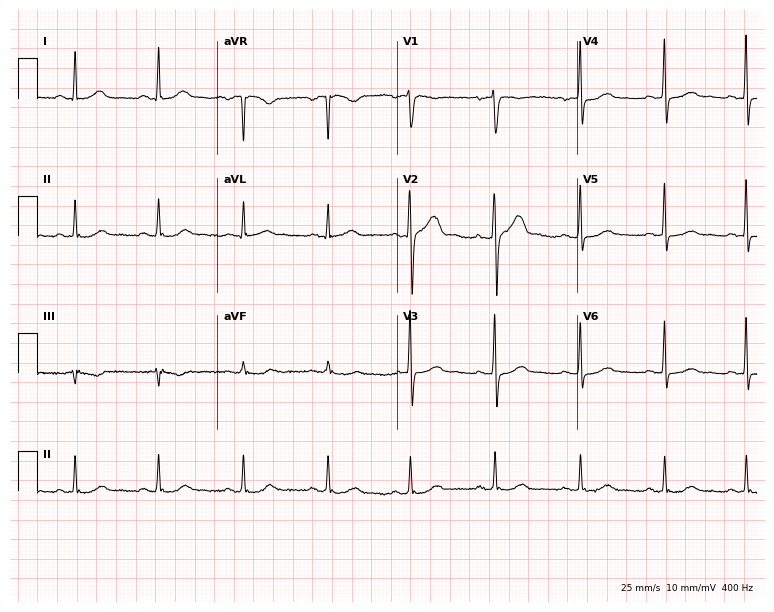
Standard 12-lead ECG recorded from a woman, 50 years old. None of these six findings is recorded: first-degree AV block, right bundle branch block, left bundle branch block, sinus bradycardia, atrial fibrillation, sinus tachycardia.